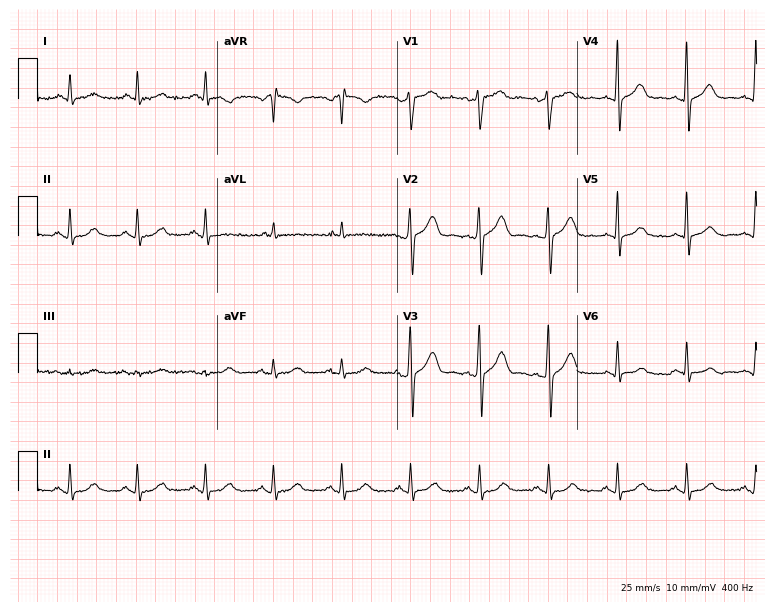
Electrocardiogram, a male, 46 years old. Of the six screened findings (first-degree AV block, right bundle branch block, left bundle branch block, sinus bradycardia, atrial fibrillation, sinus tachycardia), none is recorded. Only these six findings were labelled.